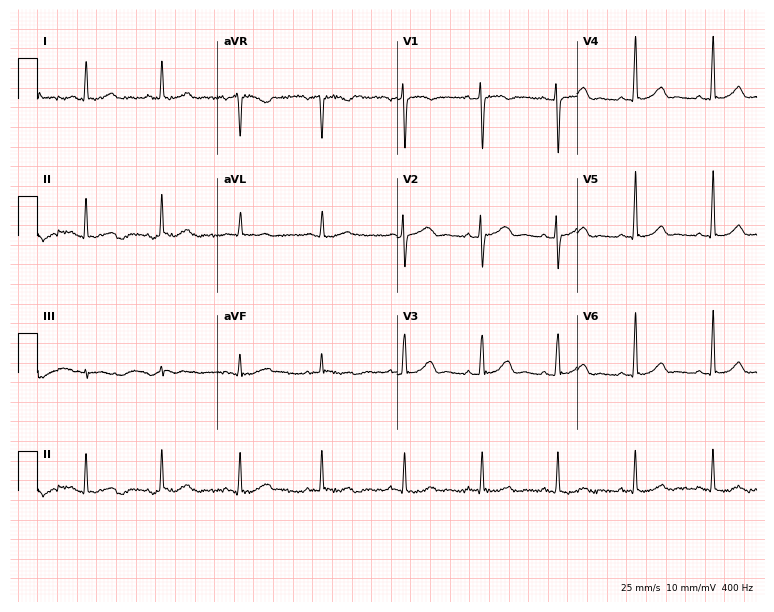
12-lead ECG from a 40-year-old female. Screened for six findings — first-degree AV block, right bundle branch block, left bundle branch block, sinus bradycardia, atrial fibrillation, sinus tachycardia — none is recorded. Only these six findings were labelled.